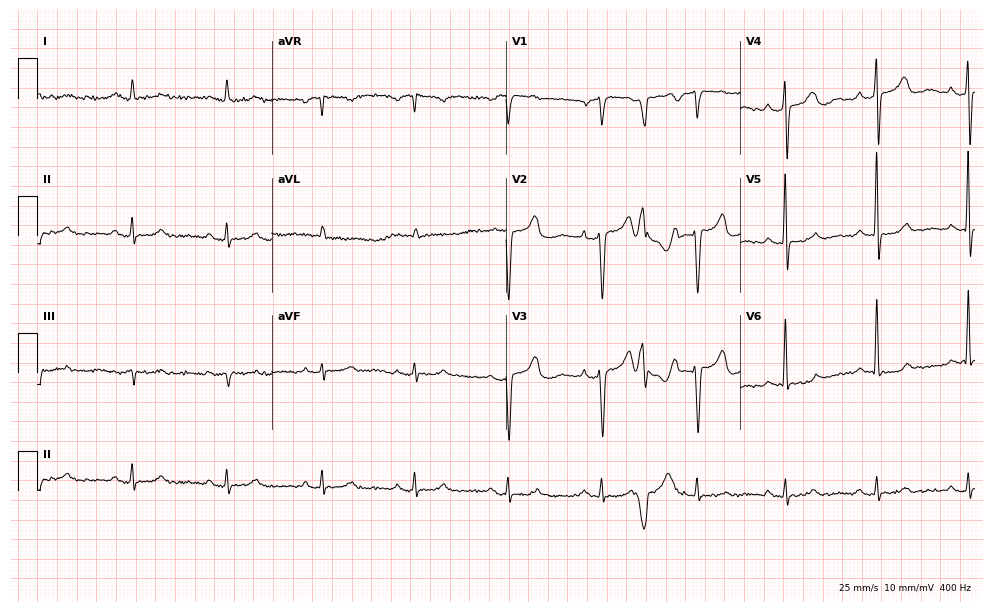
Electrocardiogram, an 84-year-old man. Of the six screened findings (first-degree AV block, right bundle branch block (RBBB), left bundle branch block (LBBB), sinus bradycardia, atrial fibrillation (AF), sinus tachycardia), none is recorded.